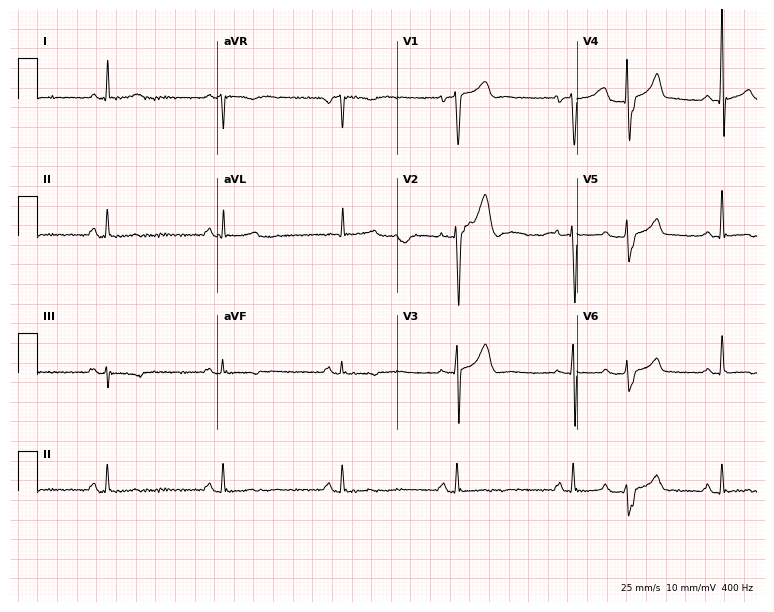
ECG — a man, 47 years old. Findings include sinus bradycardia (a sinus rate of 50 beats per minute or less).